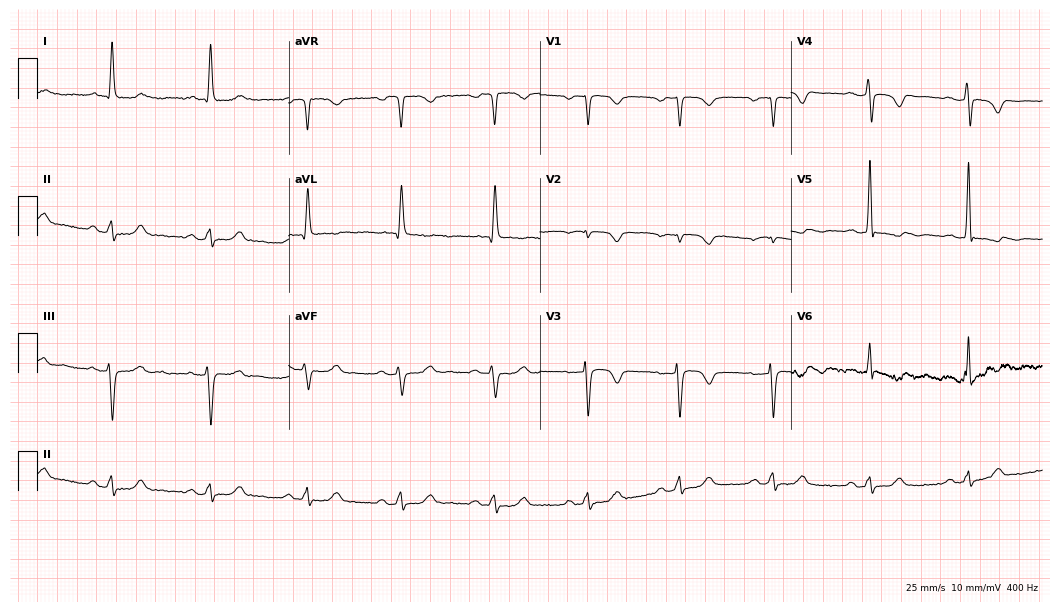
12-lead ECG (10.2-second recording at 400 Hz) from a 70-year-old female. Screened for six findings — first-degree AV block, right bundle branch block, left bundle branch block, sinus bradycardia, atrial fibrillation, sinus tachycardia — none is recorded.